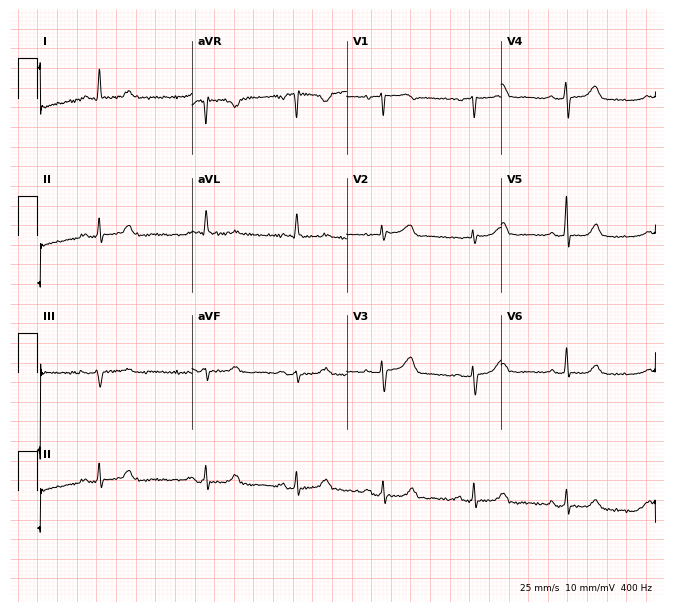
Resting 12-lead electrocardiogram (6.3-second recording at 400 Hz). Patient: a woman, 76 years old. None of these six findings is recorded: first-degree AV block, right bundle branch block, left bundle branch block, sinus bradycardia, atrial fibrillation, sinus tachycardia.